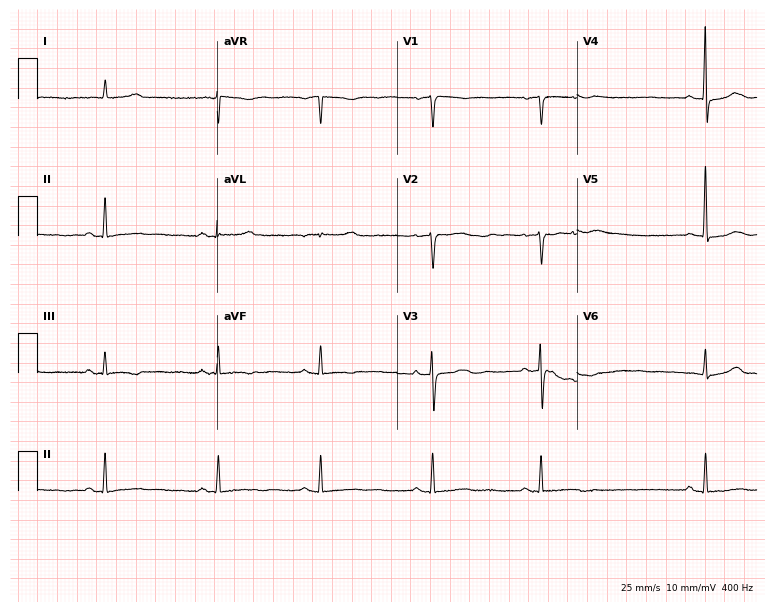
Standard 12-lead ECG recorded from a woman, 84 years old. None of these six findings is recorded: first-degree AV block, right bundle branch block, left bundle branch block, sinus bradycardia, atrial fibrillation, sinus tachycardia. Only these six findings were labelled.